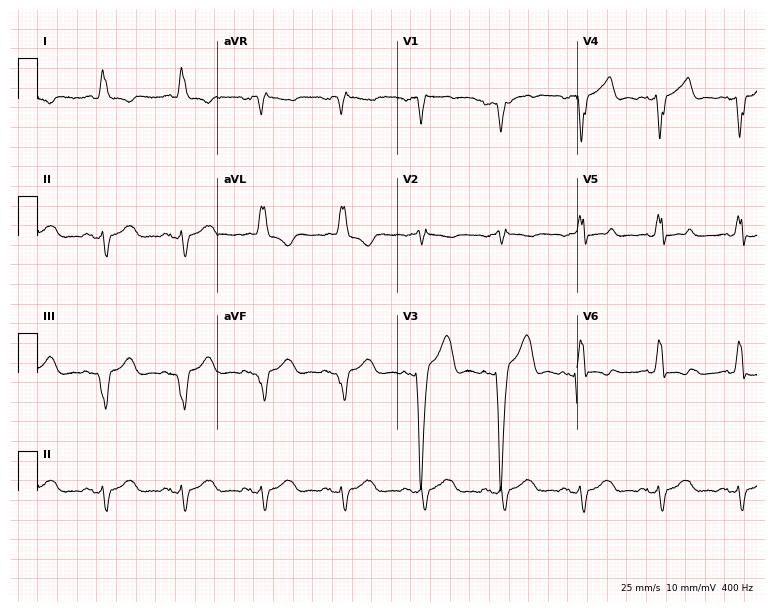
12-lead ECG from a man, 80 years old. Shows left bundle branch block (LBBB).